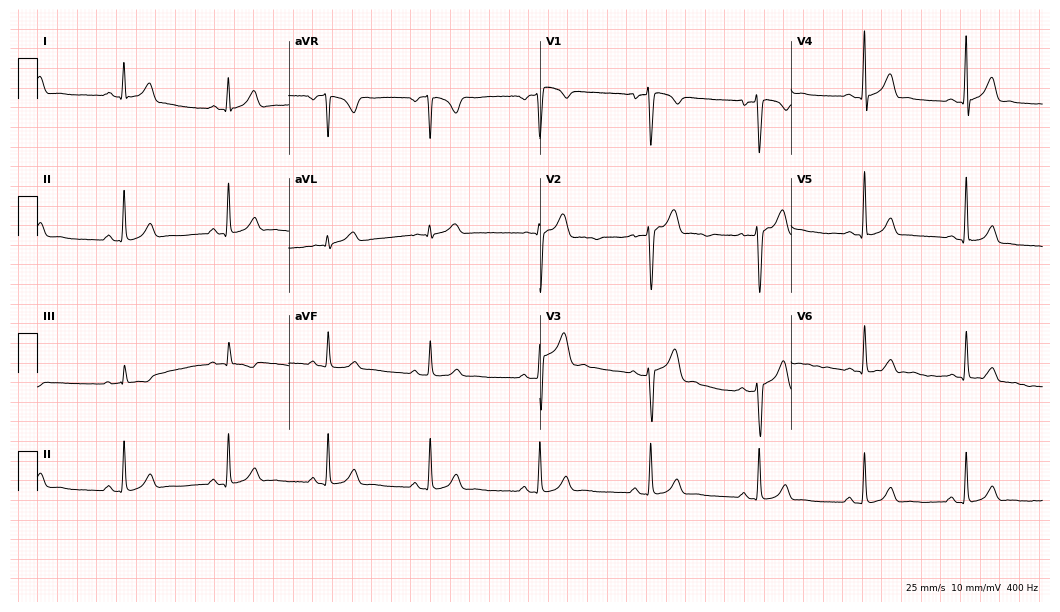
ECG — a 27-year-old man. Labelled as a normal ECG.